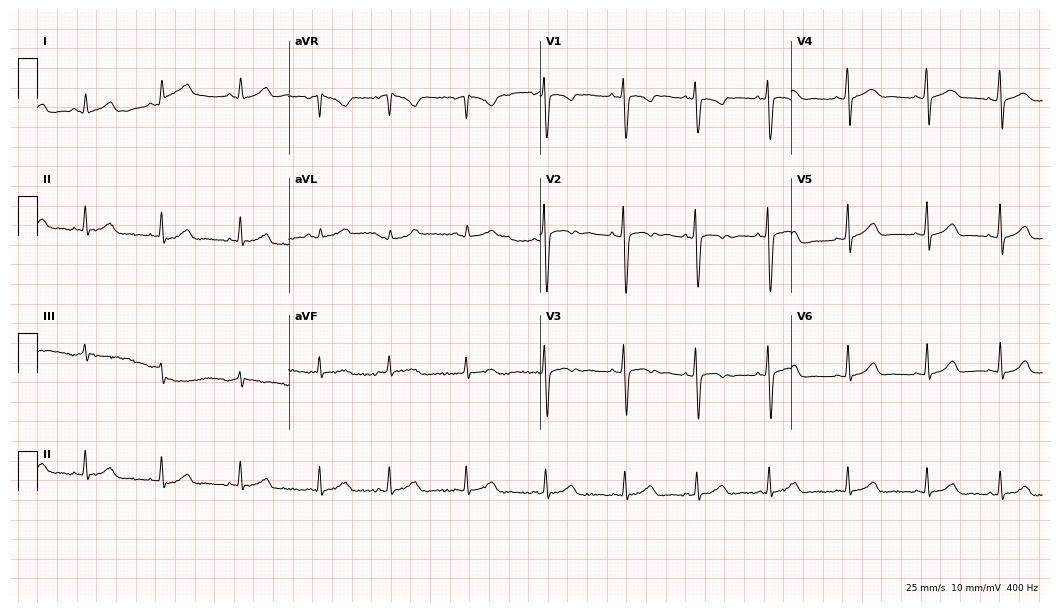
Electrocardiogram, an 18-year-old female patient. Of the six screened findings (first-degree AV block, right bundle branch block, left bundle branch block, sinus bradycardia, atrial fibrillation, sinus tachycardia), none is recorded. Only these six findings were labelled.